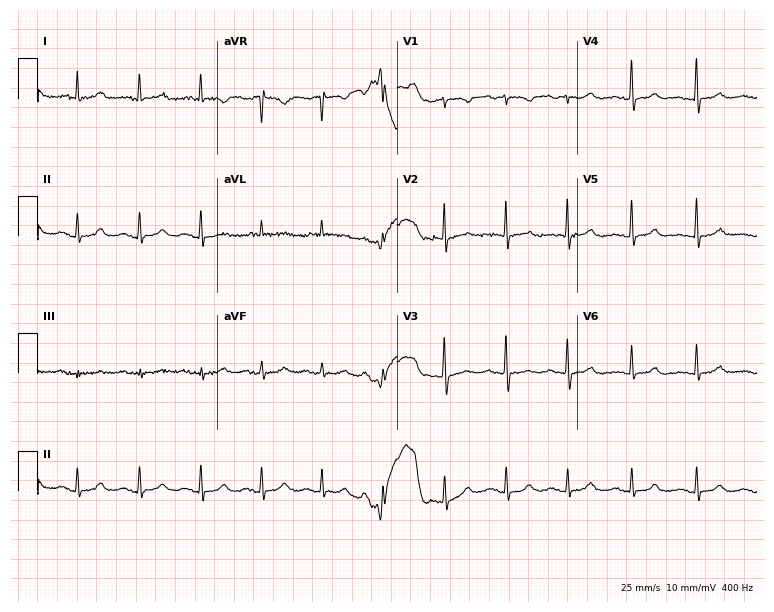
12-lead ECG from a woman, 84 years old (7.3-second recording at 400 Hz). No first-degree AV block, right bundle branch block (RBBB), left bundle branch block (LBBB), sinus bradycardia, atrial fibrillation (AF) or sinus tachycardia recorded for this tracing.